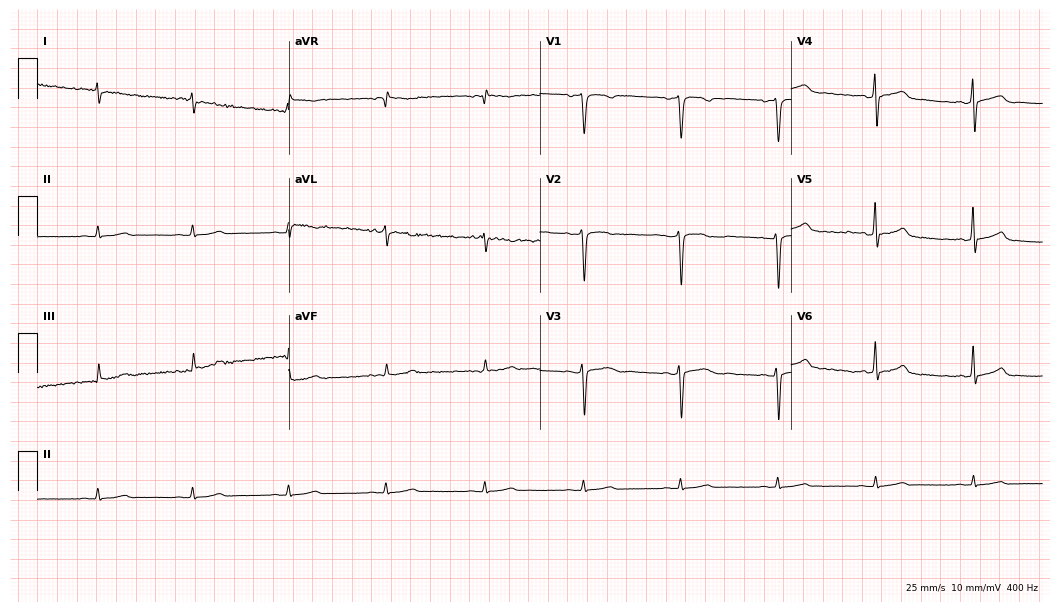
12-lead ECG (10.2-second recording at 400 Hz) from a 55-year-old female patient. Labelled as a normal ECG.